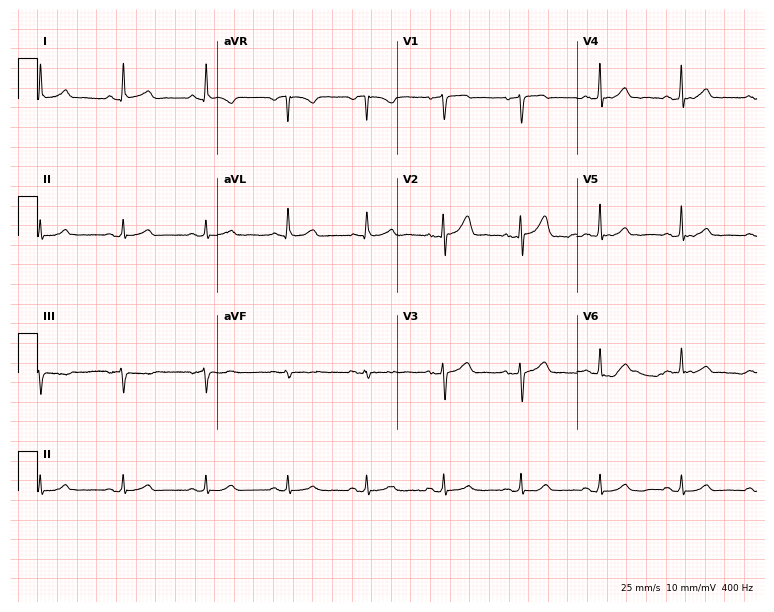
Resting 12-lead electrocardiogram. Patient: a man, 58 years old. Read as a normal ECG.